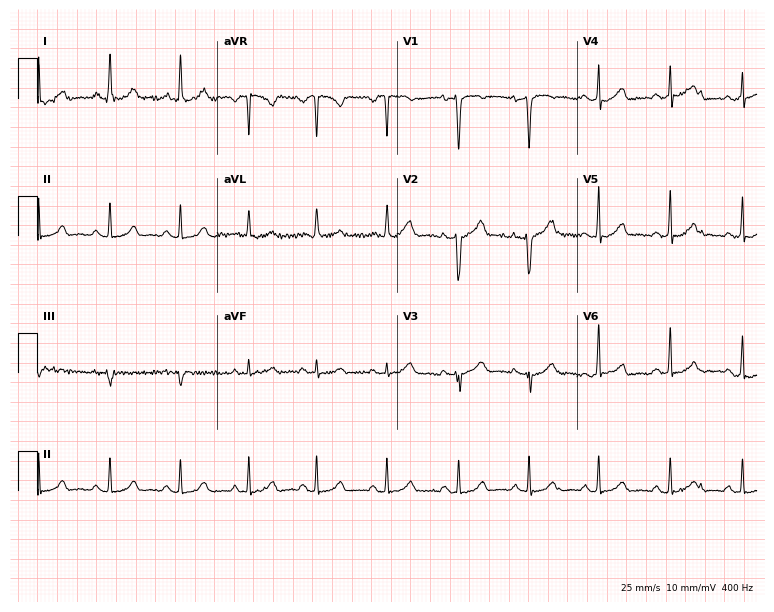
Resting 12-lead electrocardiogram (7.3-second recording at 400 Hz). Patient: a 42-year-old female. Read as a normal ECG.